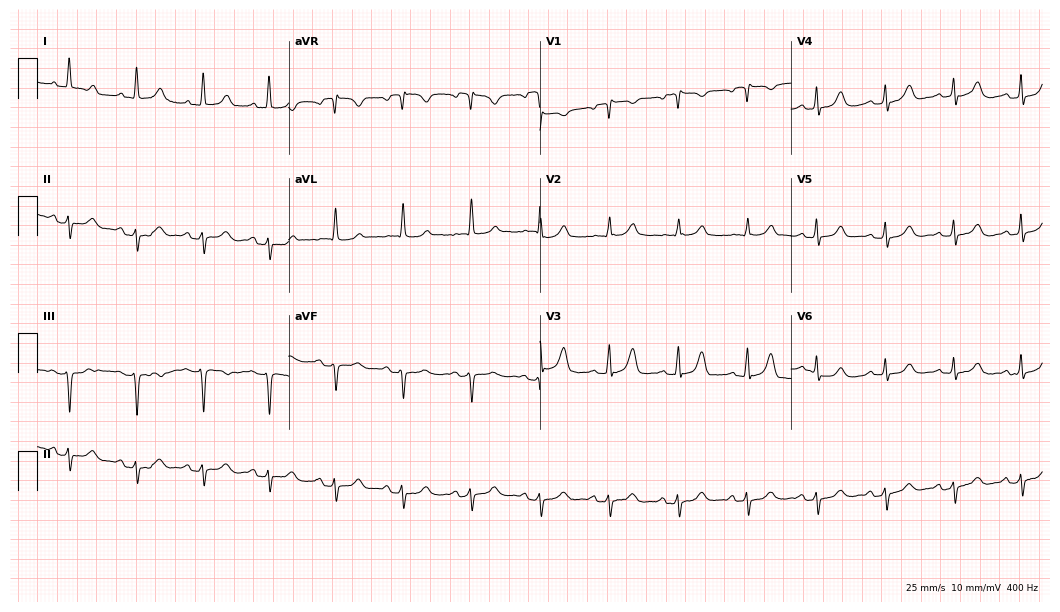
Electrocardiogram (10.2-second recording at 400 Hz), a woman, 77 years old. Of the six screened findings (first-degree AV block, right bundle branch block, left bundle branch block, sinus bradycardia, atrial fibrillation, sinus tachycardia), none is recorded. Findings outside these six are not listed.